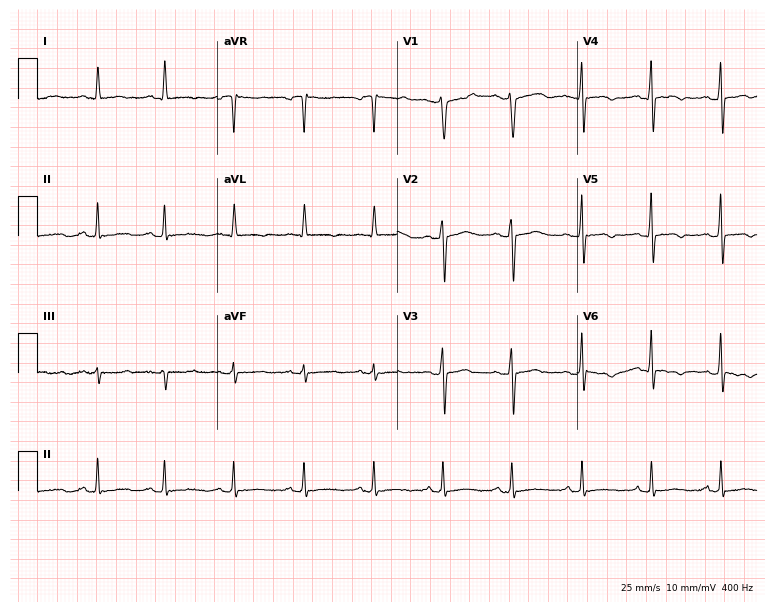
Resting 12-lead electrocardiogram (7.3-second recording at 400 Hz). Patient: a 37-year-old woman. None of these six findings is recorded: first-degree AV block, right bundle branch block, left bundle branch block, sinus bradycardia, atrial fibrillation, sinus tachycardia. Only these six findings were labelled.